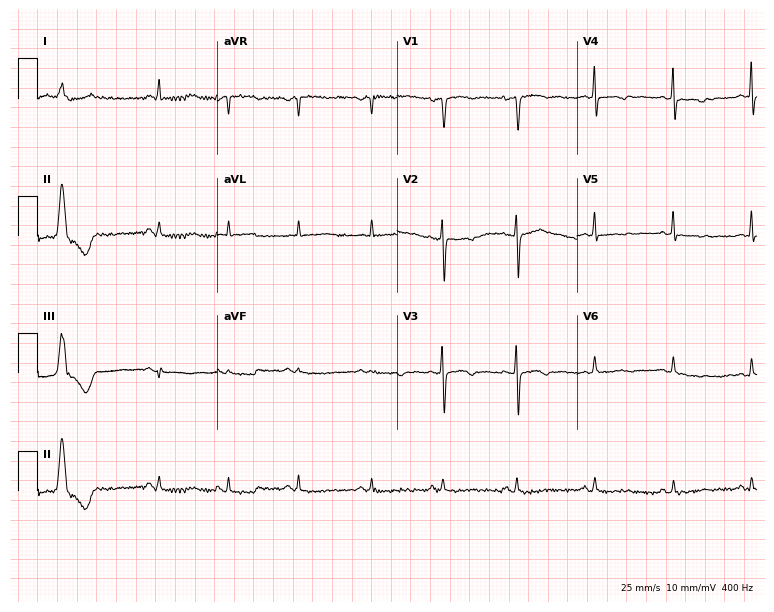
12-lead ECG from a female, 50 years old. No first-degree AV block, right bundle branch block, left bundle branch block, sinus bradycardia, atrial fibrillation or sinus tachycardia recorded for this tracing. Findings outside these six are not listed.